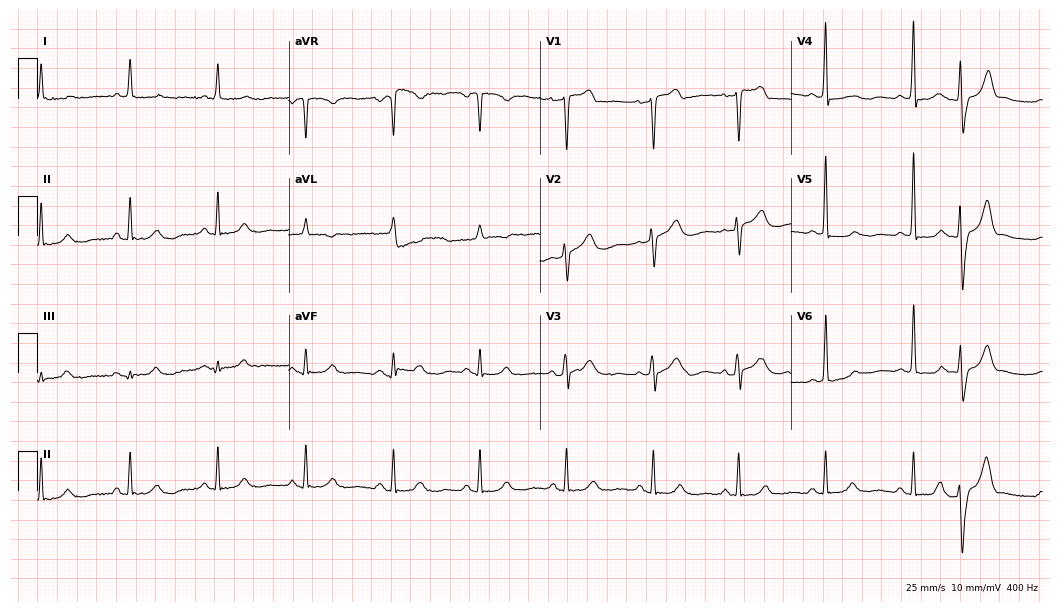
12-lead ECG from a female patient, 69 years old. Screened for six findings — first-degree AV block, right bundle branch block, left bundle branch block, sinus bradycardia, atrial fibrillation, sinus tachycardia — none is recorded.